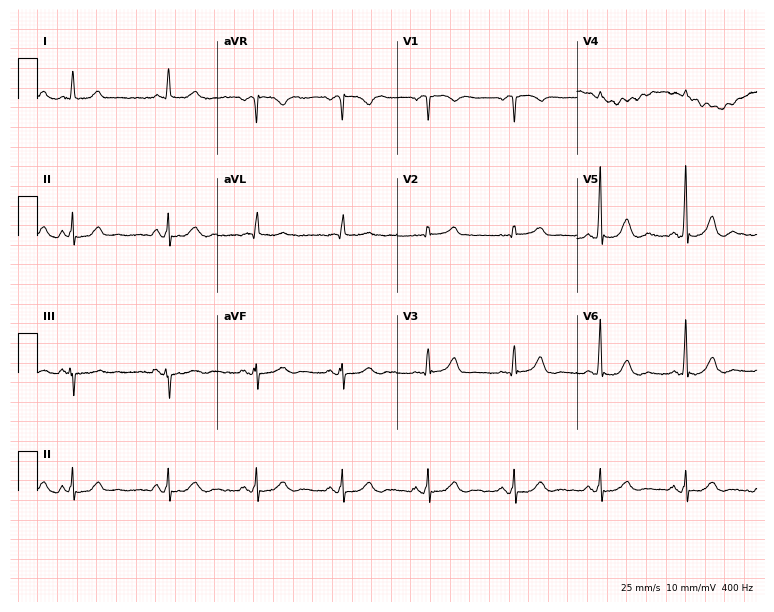
Resting 12-lead electrocardiogram (7.3-second recording at 400 Hz). Patient: an 82-year-old male. Read as a normal ECG.